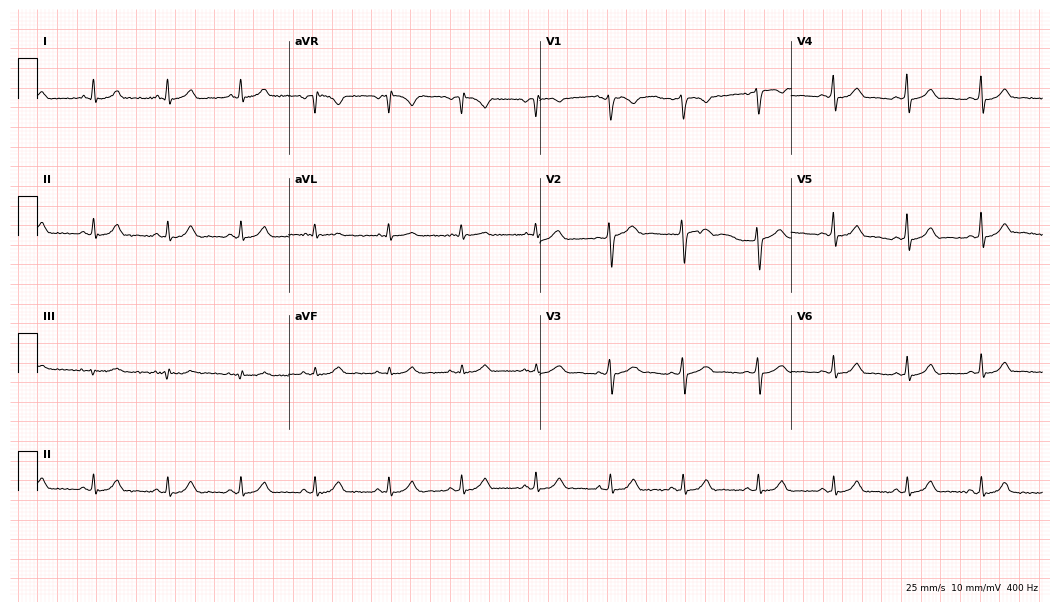
ECG (10.2-second recording at 400 Hz) — a 35-year-old male. Labelled as a normal ECG.